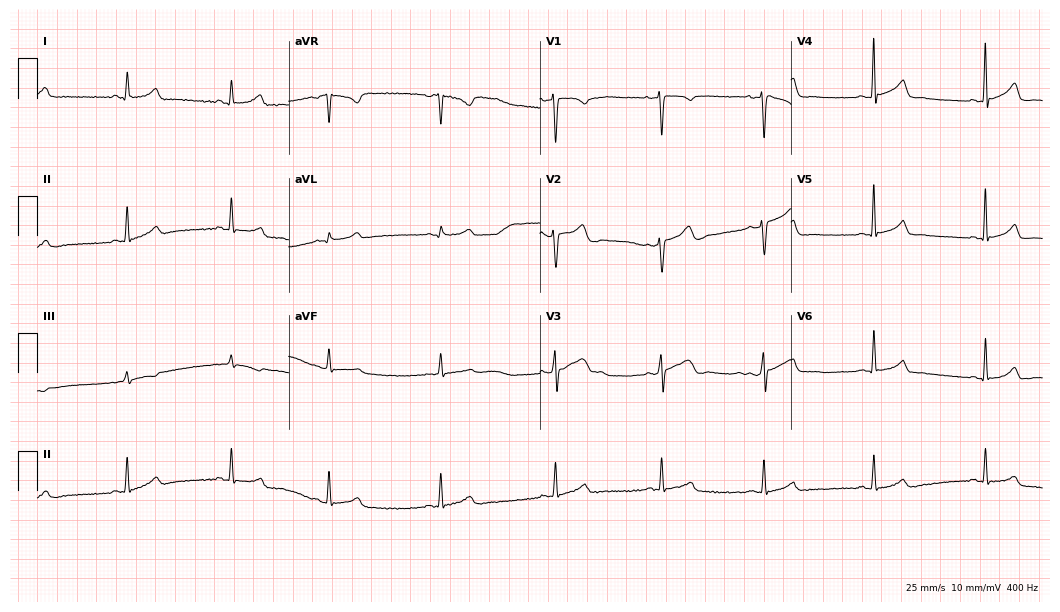
12-lead ECG from a 30-year-old woman. Labelled as a normal ECG.